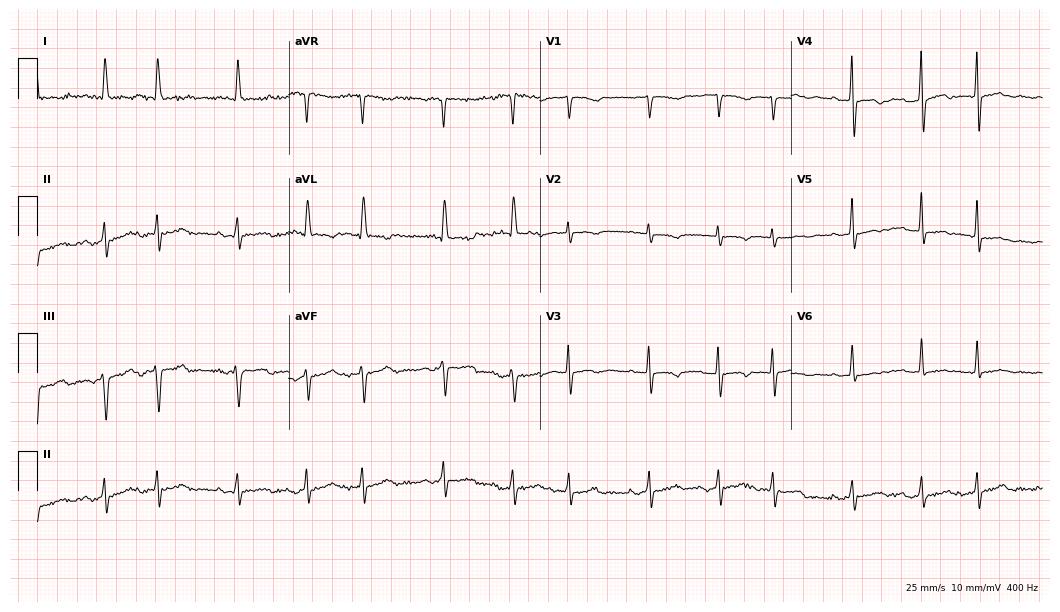
Electrocardiogram, a 72-year-old woman. Of the six screened findings (first-degree AV block, right bundle branch block, left bundle branch block, sinus bradycardia, atrial fibrillation, sinus tachycardia), none is recorded.